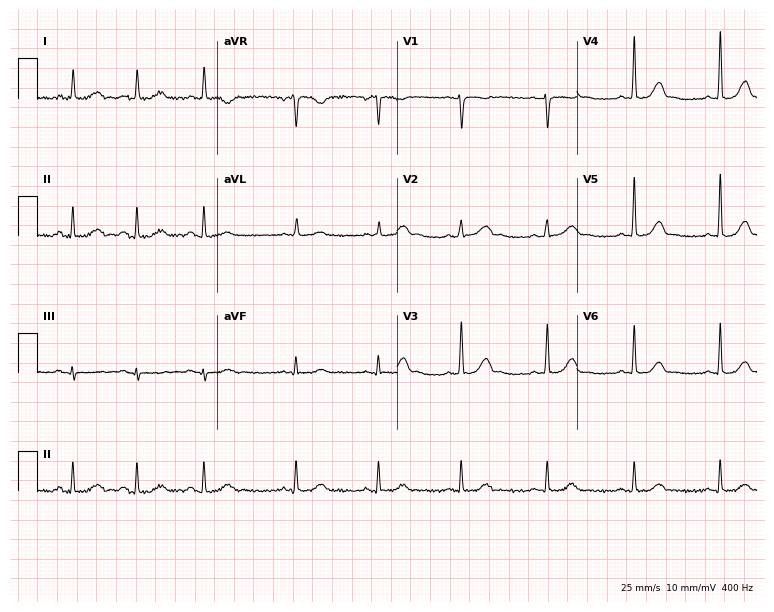
Resting 12-lead electrocardiogram (7.3-second recording at 400 Hz). Patient: a 34-year-old woman. Read as a normal ECG.